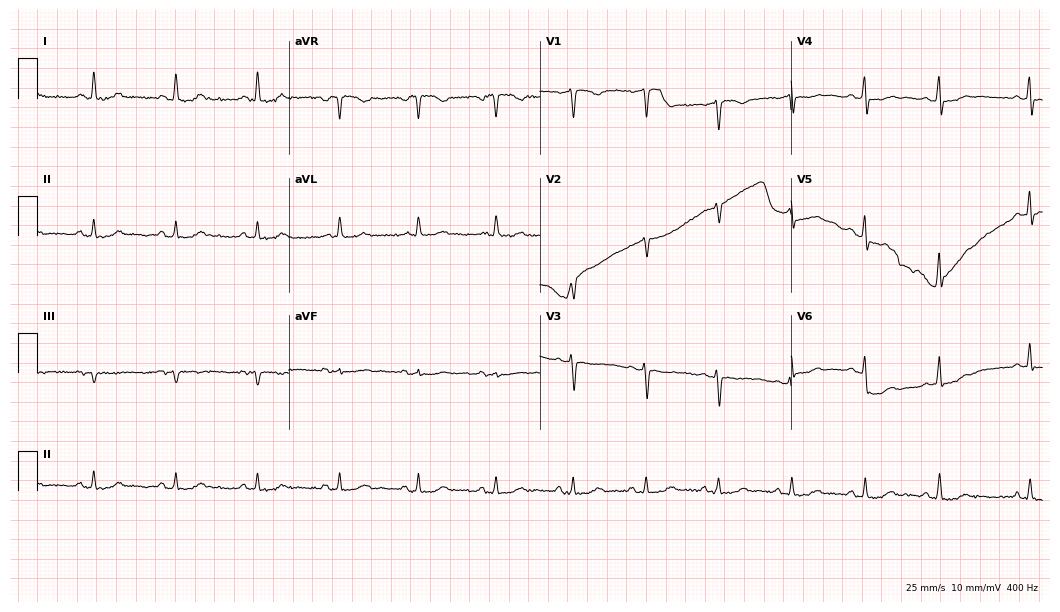
12-lead ECG from a 54-year-old woman. No first-degree AV block, right bundle branch block (RBBB), left bundle branch block (LBBB), sinus bradycardia, atrial fibrillation (AF) or sinus tachycardia recorded for this tracing. Findings outside these six are not listed.